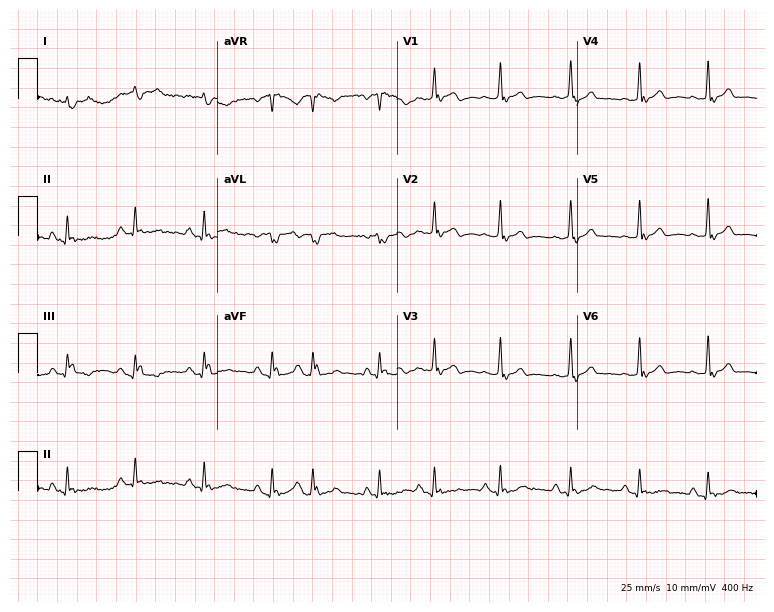
12-lead ECG from an 82-year-old male patient. No first-degree AV block, right bundle branch block (RBBB), left bundle branch block (LBBB), sinus bradycardia, atrial fibrillation (AF) or sinus tachycardia recorded for this tracing.